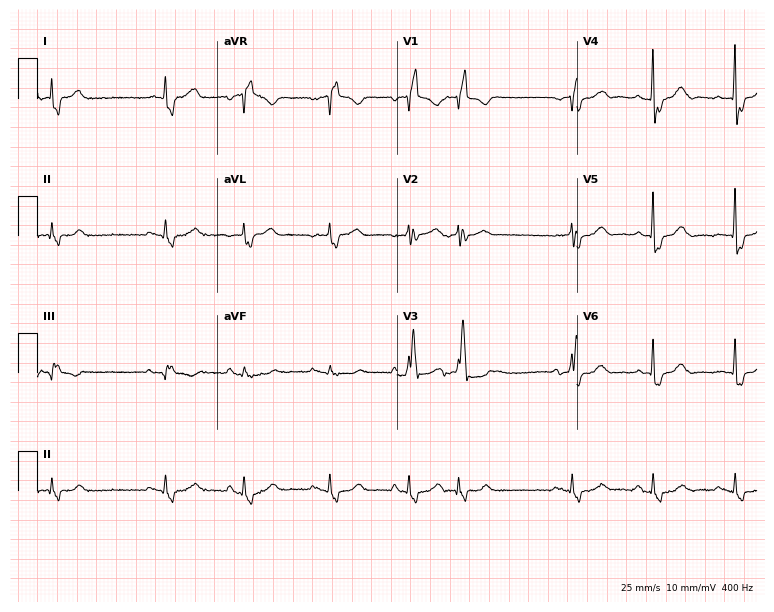
12-lead ECG from an 82-year-old male patient. Shows right bundle branch block.